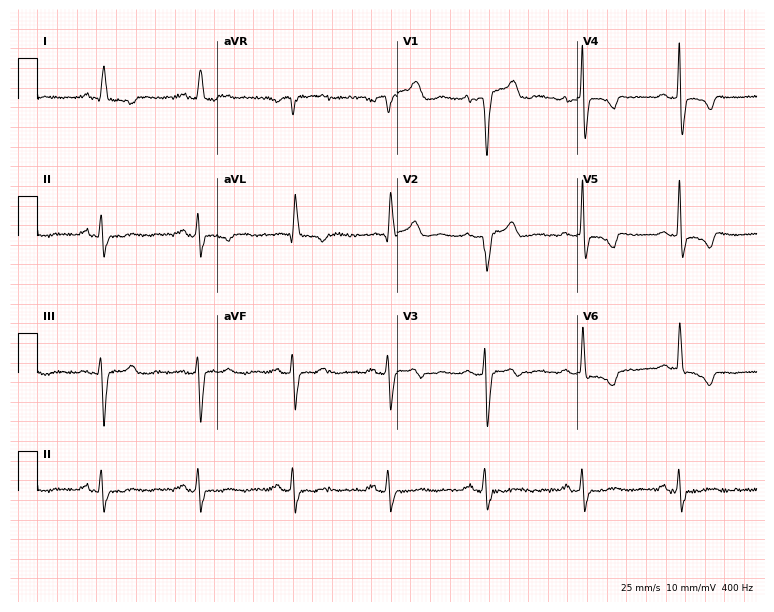
Standard 12-lead ECG recorded from a male patient, 78 years old (7.3-second recording at 400 Hz). None of these six findings is recorded: first-degree AV block, right bundle branch block, left bundle branch block, sinus bradycardia, atrial fibrillation, sinus tachycardia.